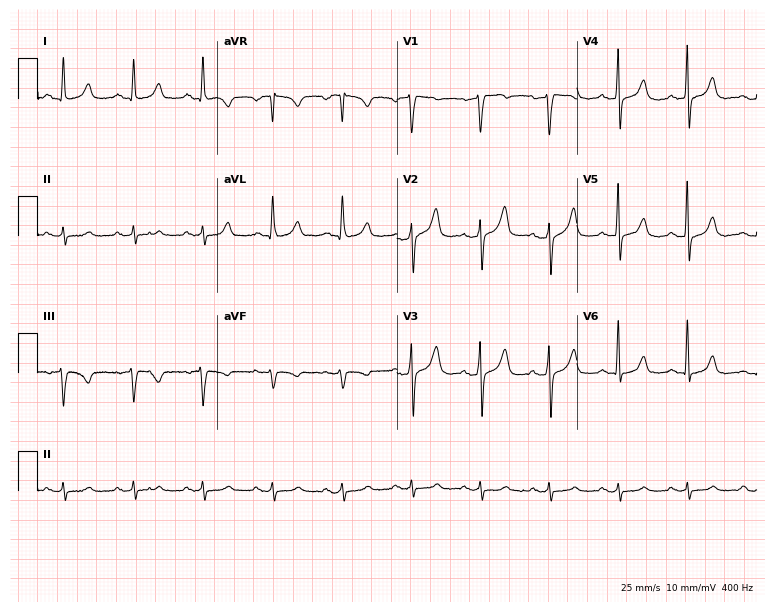
12-lead ECG from a male patient, 75 years old. Labelled as a normal ECG.